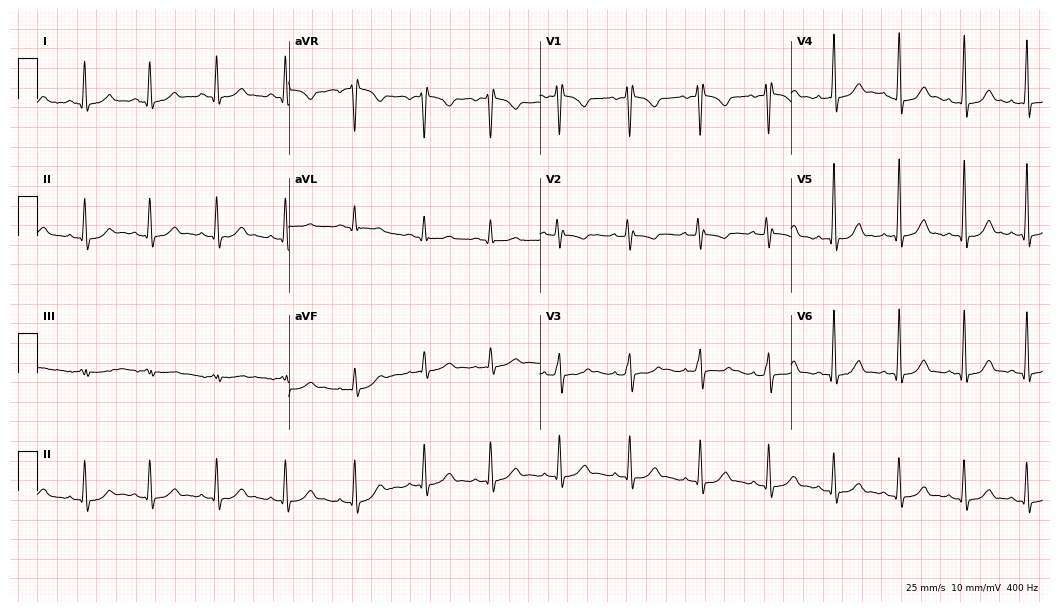
ECG — a 19-year-old female. Screened for six findings — first-degree AV block, right bundle branch block (RBBB), left bundle branch block (LBBB), sinus bradycardia, atrial fibrillation (AF), sinus tachycardia — none is recorded.